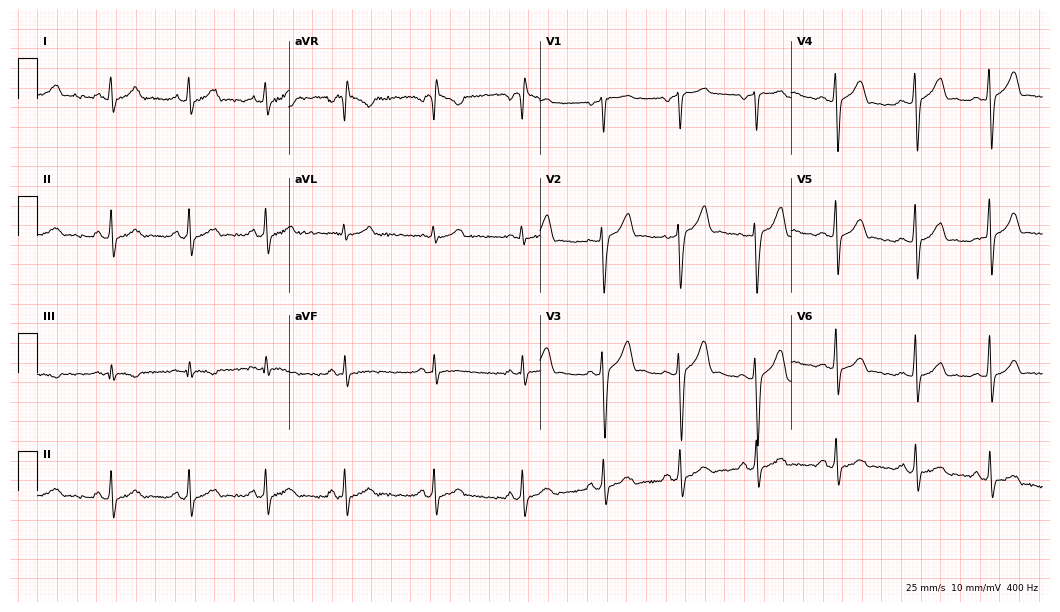
Standard 12-lead ECG recorded from a 21-year-old male patient. None of these six findings is recorded: first-degree AV block, right bundle branch block (RBBB), left bundle branch block (LBBB), sinus bradycardia, atrial fibrillation (AF), sinus tachycardia.